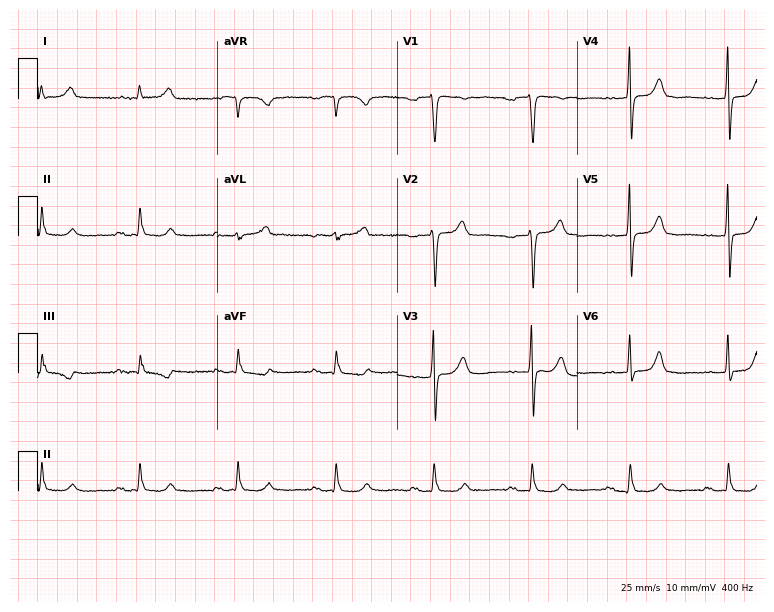
Standard 12-lead ECG recorded from a male, 73 years old (7.3-second recording at 400 Hz). Read as a normal ECG.